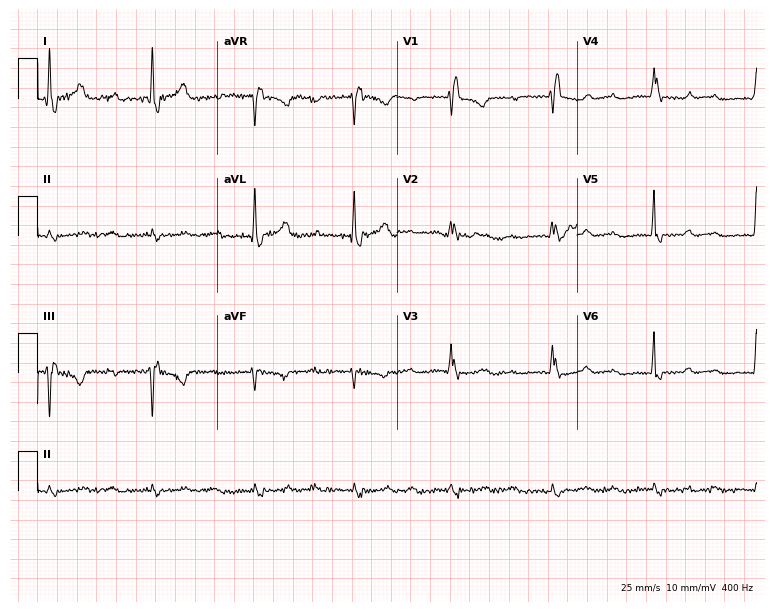
12-lead ECG from a female, 69 years old. No first-degree AV block, right bundle branch block, left bundle branch block, sinus bradycardia, atrial fibrillation or sinus tachycardia recorded for this tracing. Findings outside these six are not listed.